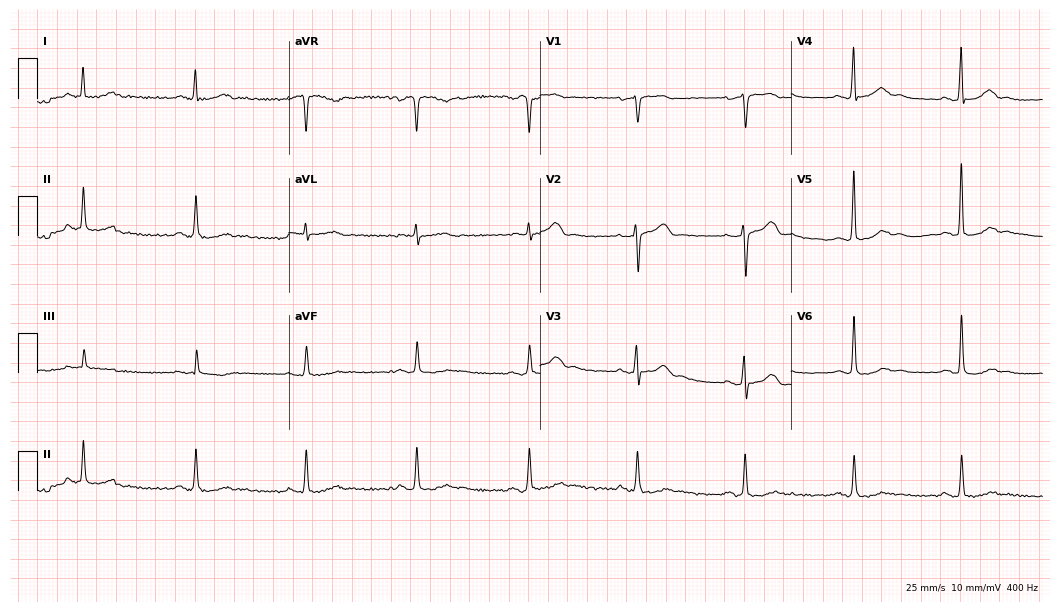
Resting 12-lead electrocardiogram. Patient: a man, 65 years old. Read as a normal ECG.